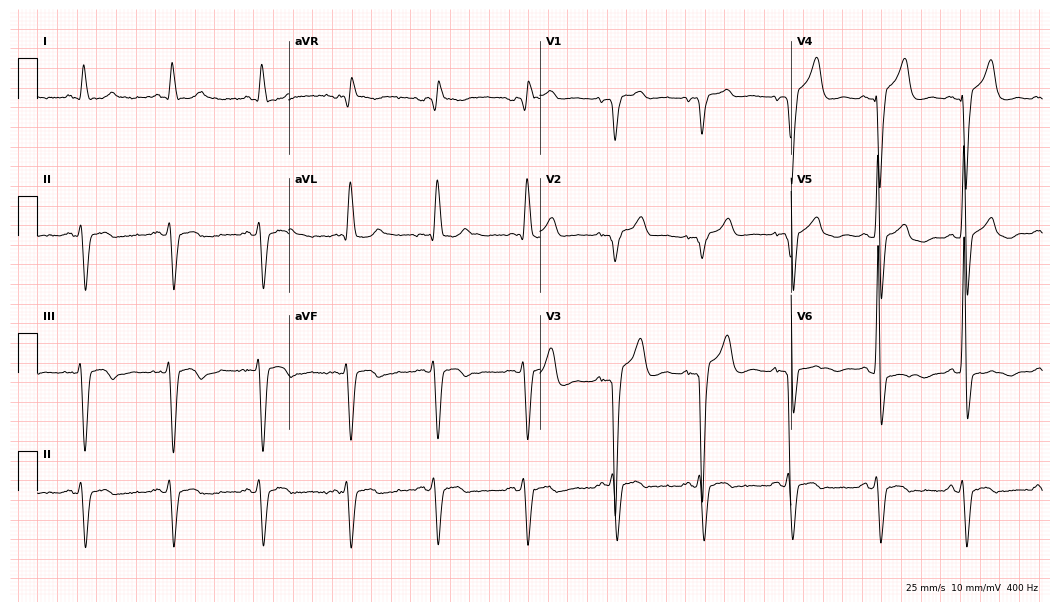
12-lead ECG from an 83-year-old male. Findings include left bundle branch block.